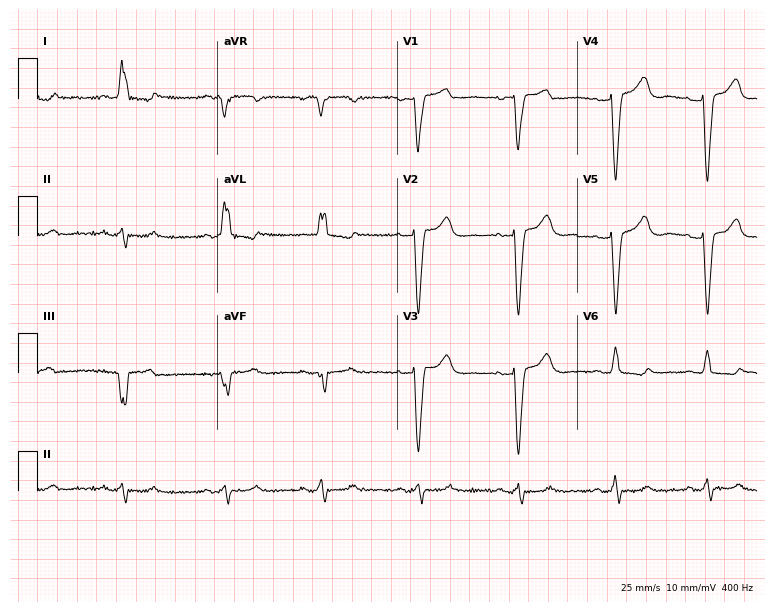
Standard 12-lead ECG recorded from a 53-year-old female. The tracing shows left bundle branch block.